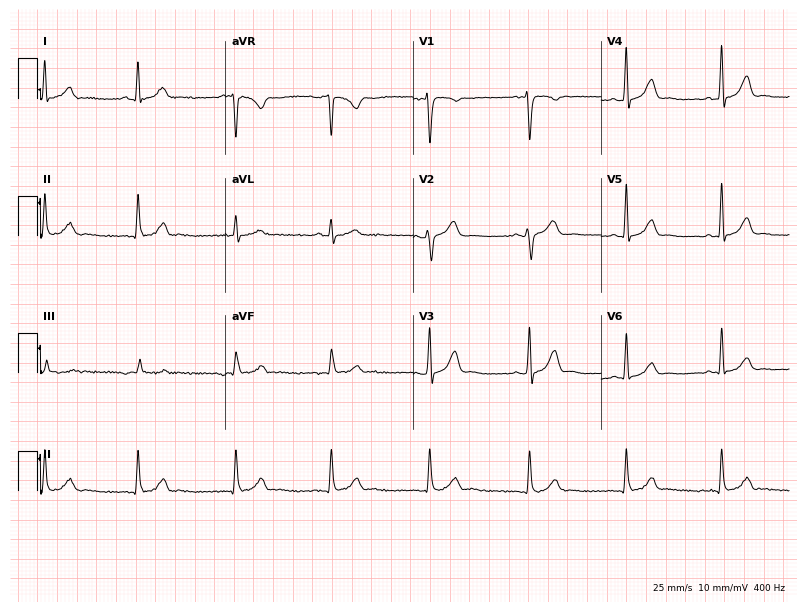
ECG (7.7-second recording at 400 Hz) — a male patient, 40 years old. Screened for six findings — first-degree AV block, right bundle branch block, left bundle branch block, sinus bradycardia, atrial fibrillation, sinus tachycardia — none is recorded. Other findings, if any, are not listed.